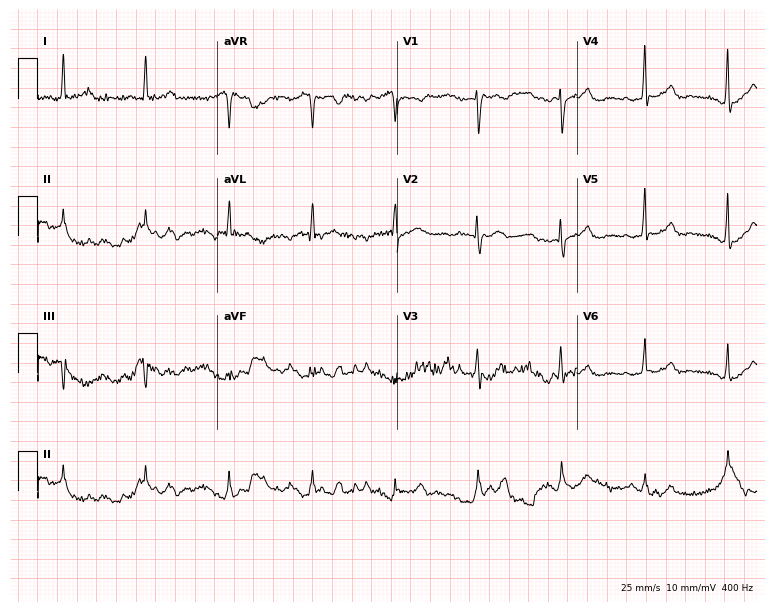
Standard 12-lead ECG recorded from a female, 70 years old (7.3-second recording at 400 Hz). None of these six findings is recorded: first-degree AV block, right bundle branch block (RBBB), left bundle branch block (LBBB), sinus bradycardia, atrial fibrillation (AF), sinus tachycardia.